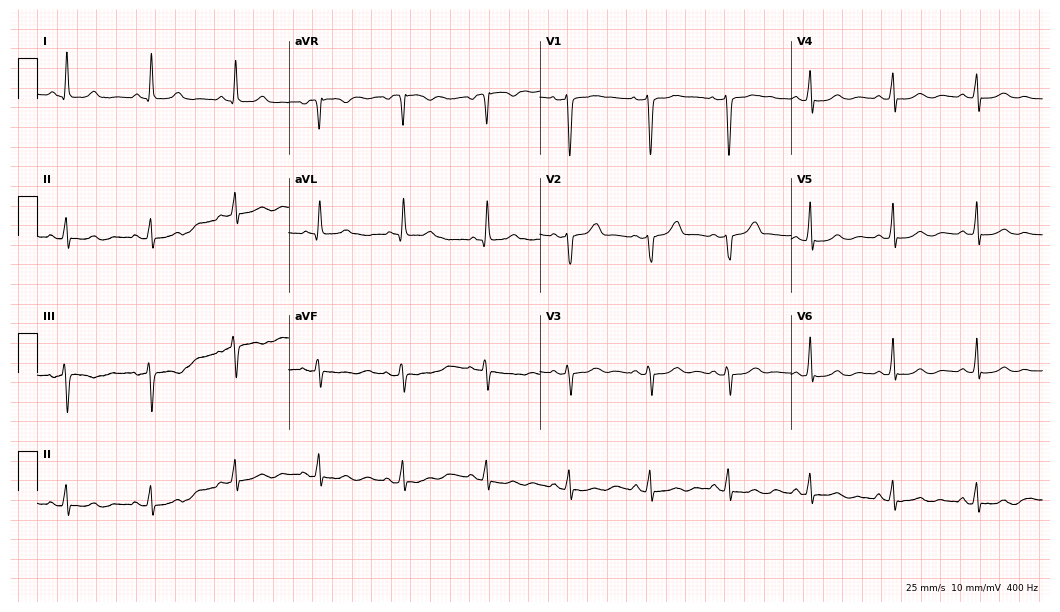
12-lead ECG from a female, 56 years old (10.2-second recording at 400 Hz). Recorded interpretation: within normal limits.